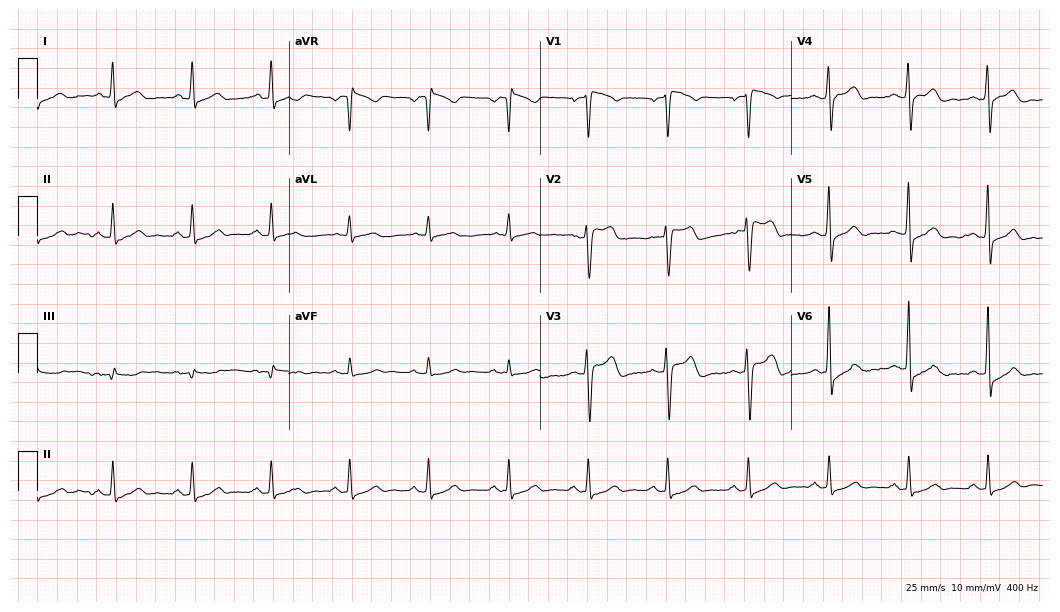
ECG — a man, 52 years old. Screened for six findings — first-degree AV block, right bundle branch block, left bundle branch block, sinus bradycardia, atrial fibrillation, sinus tachycardia — none is recorded. Other findings, if any, are not listed.